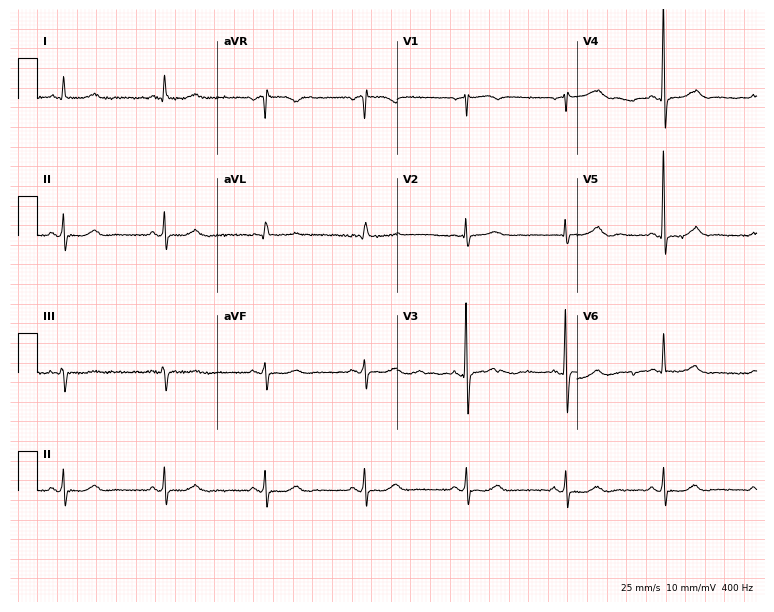
Electrocardiogram, a 70-year-old woman. Overall reading on record: normal ECG.